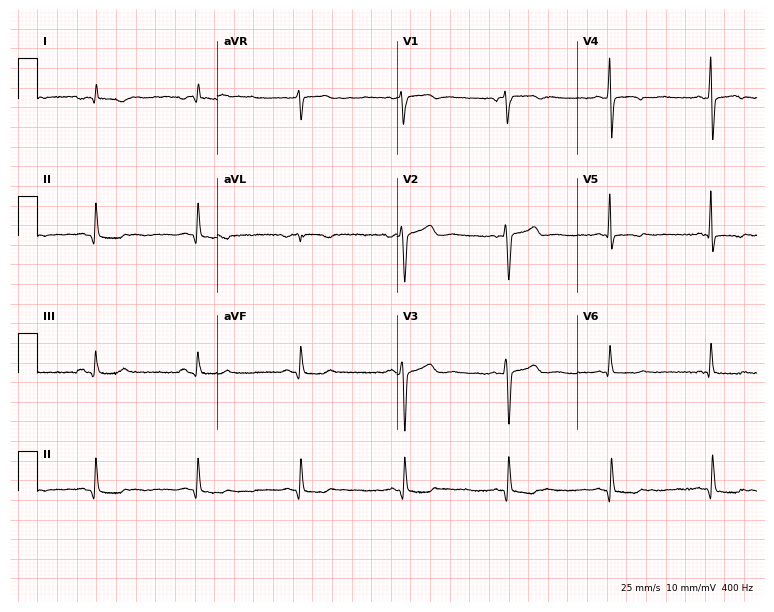
ECG — a male, 60 years old. Screened for six findings — first-degree AV block, right bundle branch block, left bundle branch block, sinus bradycardia, atrial fibrillation, sinus tachycardia — none is recorded.